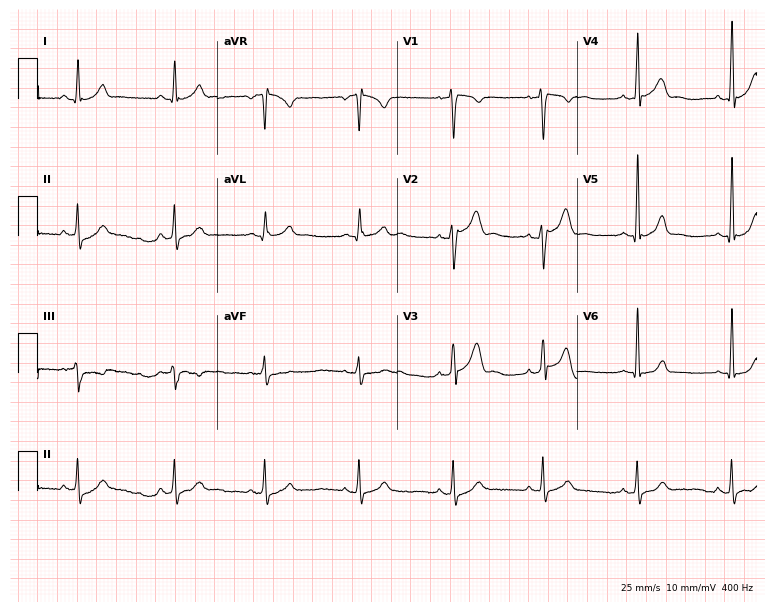
12-lead ECG (7.3-second recording at 400 Hz) from a 34-year-old man. Labelled as a normal ECG.